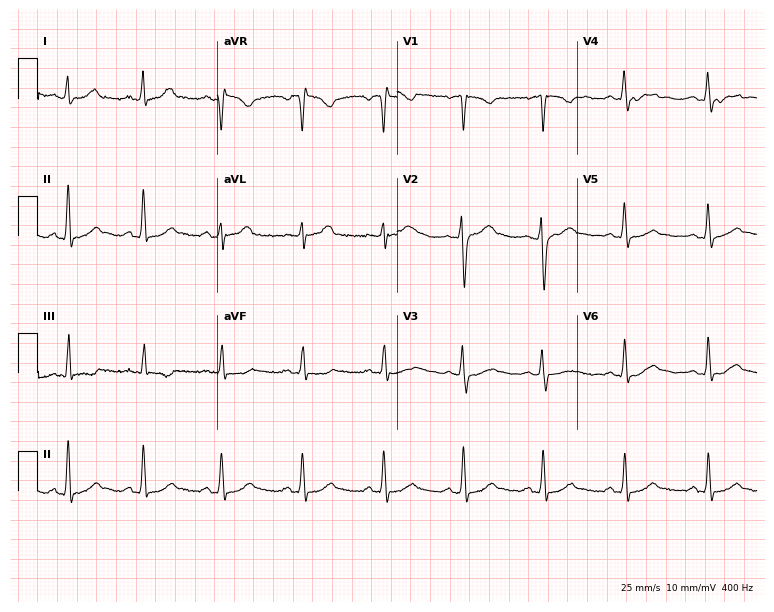
12-lead ECG from a female, 28 years old. No first-degree AV block, right bundle branch block, left bundle branch block, sinus bradycardia, atrial fibrillation or sinus tachycardia recorded for this tracing.